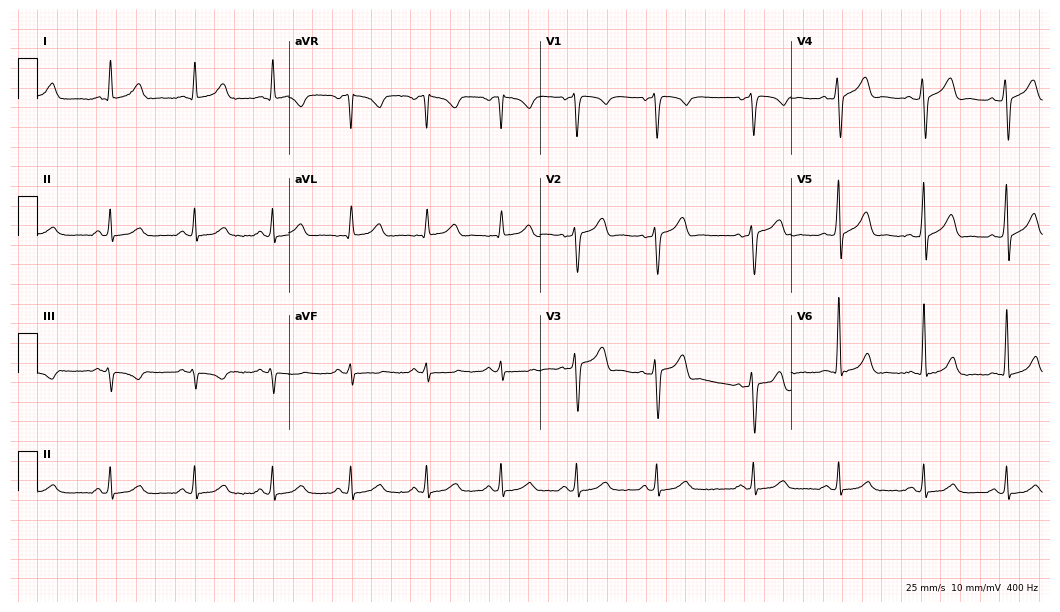
12-lead ECG from a 45-year-old man. Recorded interpretation: within normal limits.